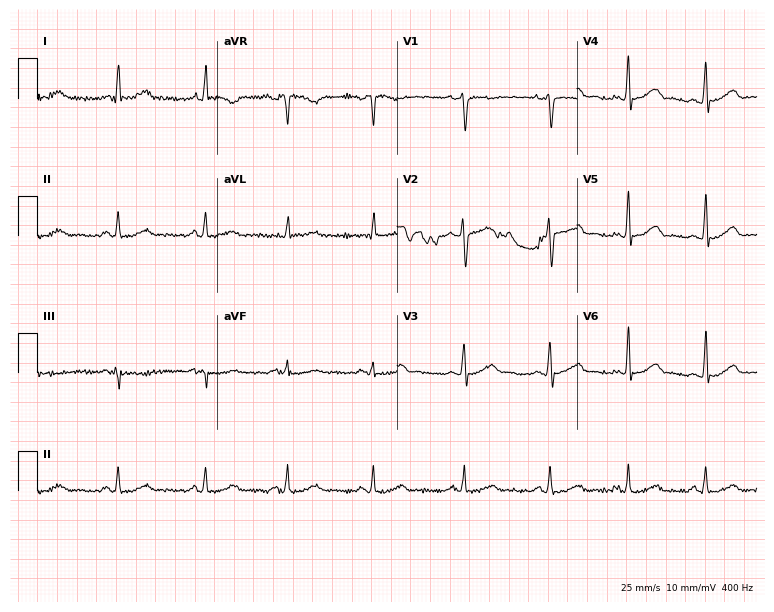
Electrocardiogram (7.3-second recording at 400 Hz), a female patient, 30 years old. Of the six screened findings (first-degree AV block, right bundle branch block, left bundle branch block, sinus bradycardia, atrial fibrillation, sinus tachycardia), none is recorded.